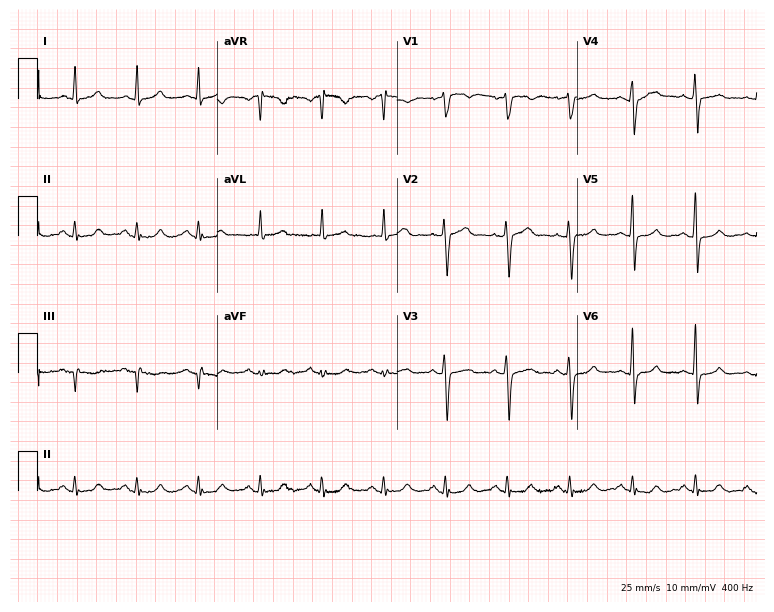
Resting 12-lead electrocardiogram (7.3-second recording at 400 Hz). Patient: a man, 58 years old. Read as a normal ECG.